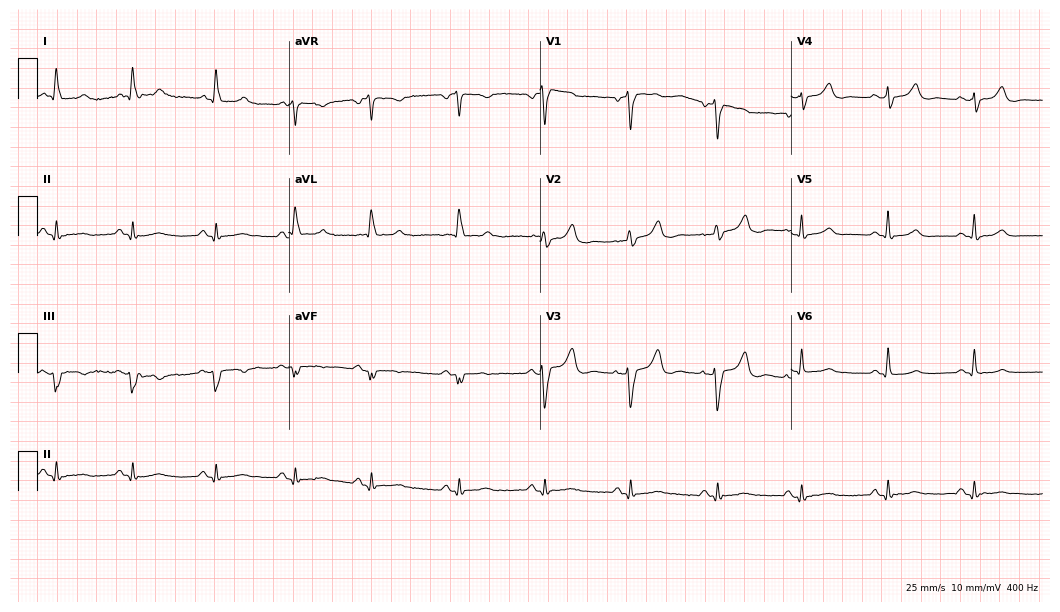
12-lead ECG from a female, 79 years old. No first-degree AV block, right bundle branch block, left bundle branch block, sinus bradycardia, atrial fibrillation or sinus tachycardia recorded for this tracing.